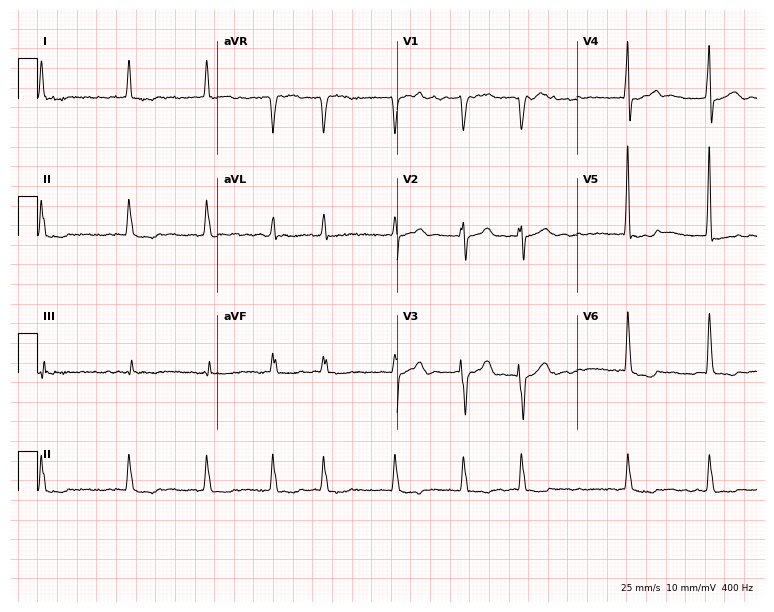
Standard 12-lead ECG recorded from a man, 83 years old. The tracing shows atrial fibrillation (AF).